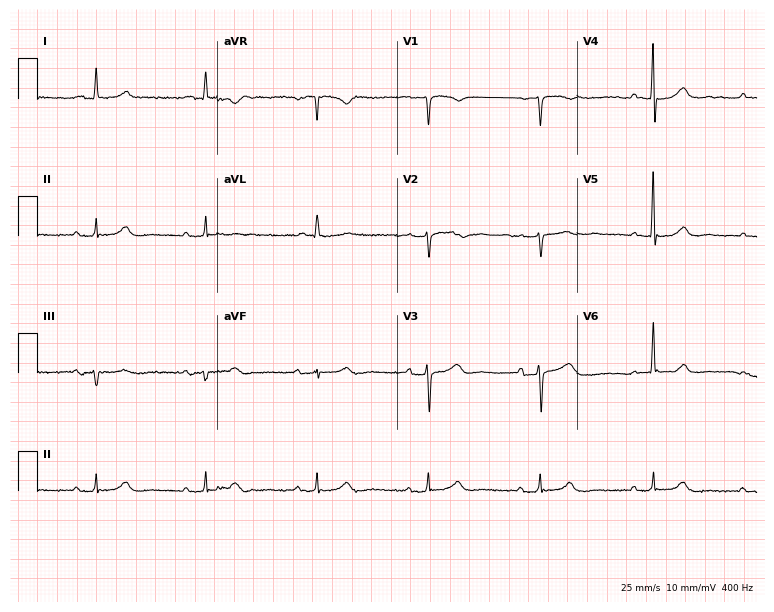
12-lead ECG from a female, 71 years old (7.3-second recording at 400 Hz). Shows first-degree AV block.